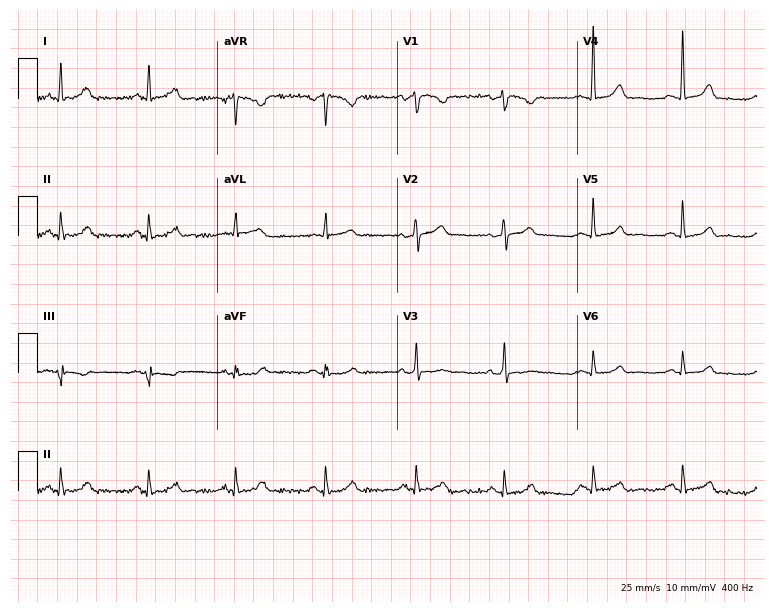
ECG (7.3-second recording at 400 Hz) — a 55-year-old female. Labelled as a normal ECG.